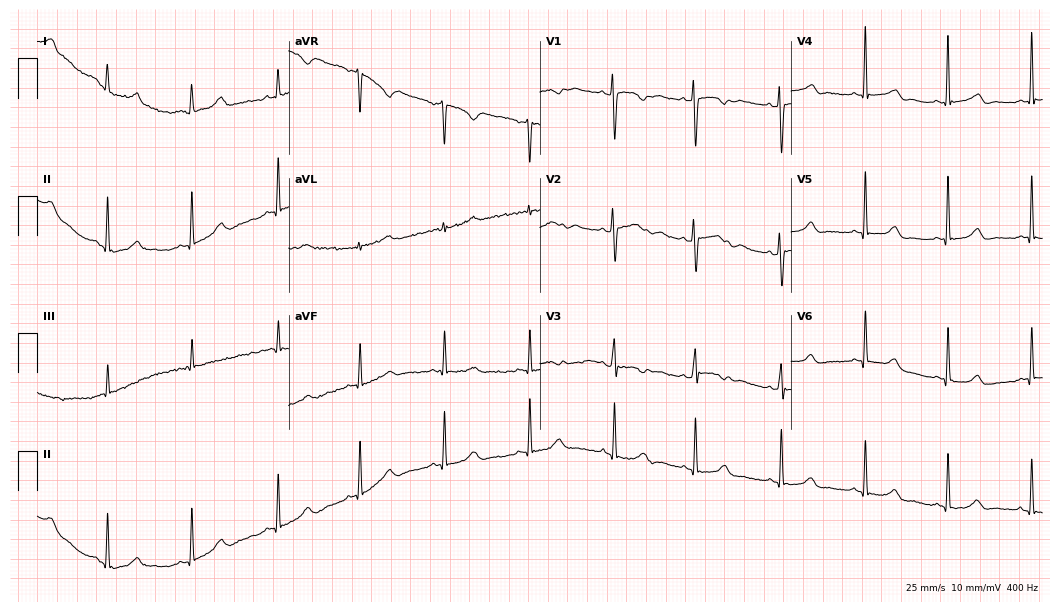
12-lead ECG from a female patient, 21 years old. No first-degree AV block, right bundle branch block (RBBB), left bundle branch block (LBBB), sinus bradycardia, atrial fibrillation (AF) or sinus tachycardia recorded for this tracing.